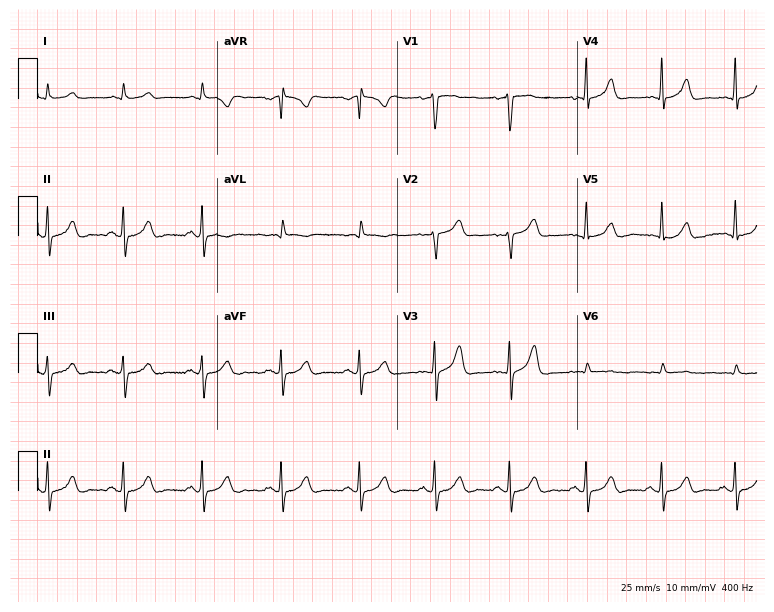
Electrocardiogram, a male, 42 years old. Overall reading on record: normal ECG.